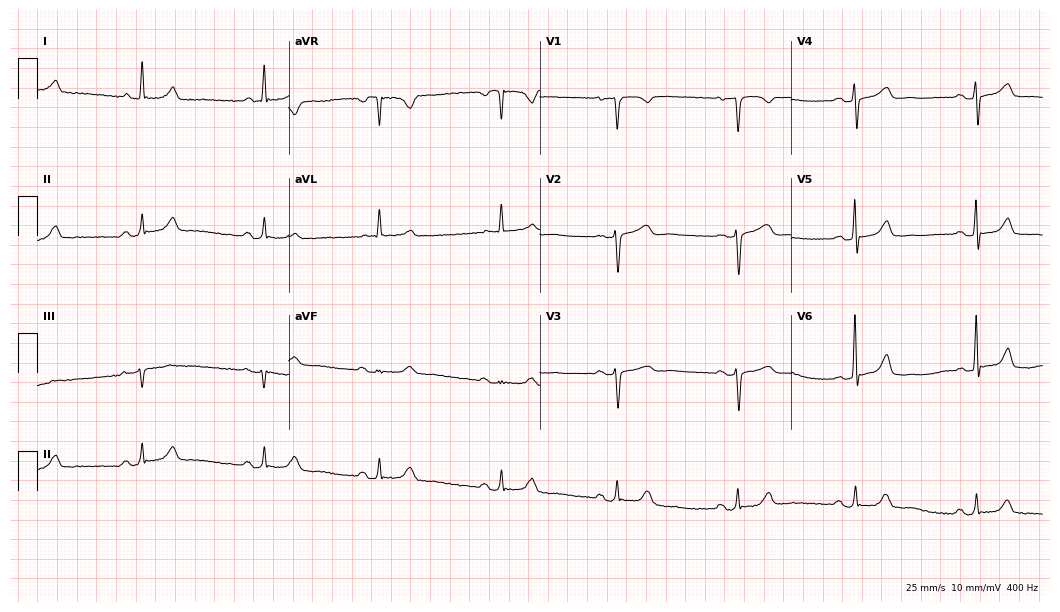
Standard 12-lead ECG recorded from a woman, 59 years old. Read as a normal ECG.